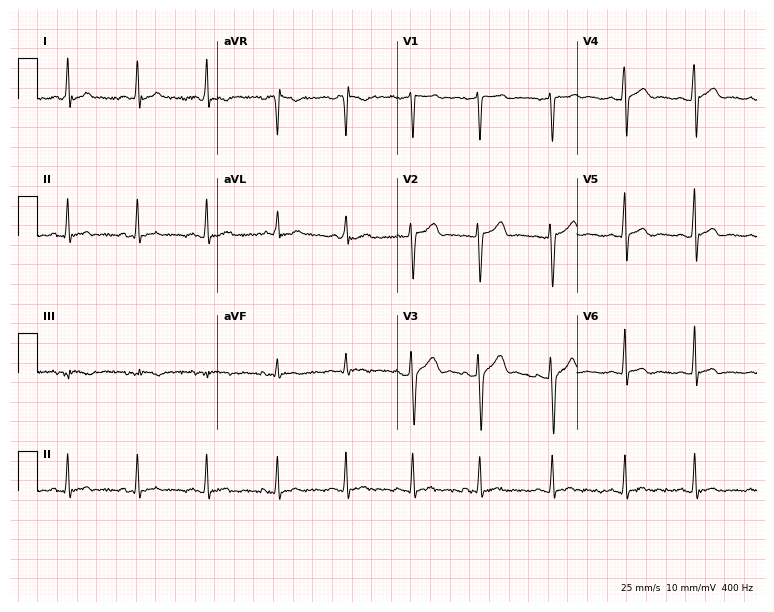
12-lead ECG (7.3-second recording at 400 Hz) from a 29-year-old man. Screened for six findings — first-degree AV block, right bundle branch block, left bundle branch block, sinus bradycardia, atrial fibrillation, sinus tachycardia — none is recorded.